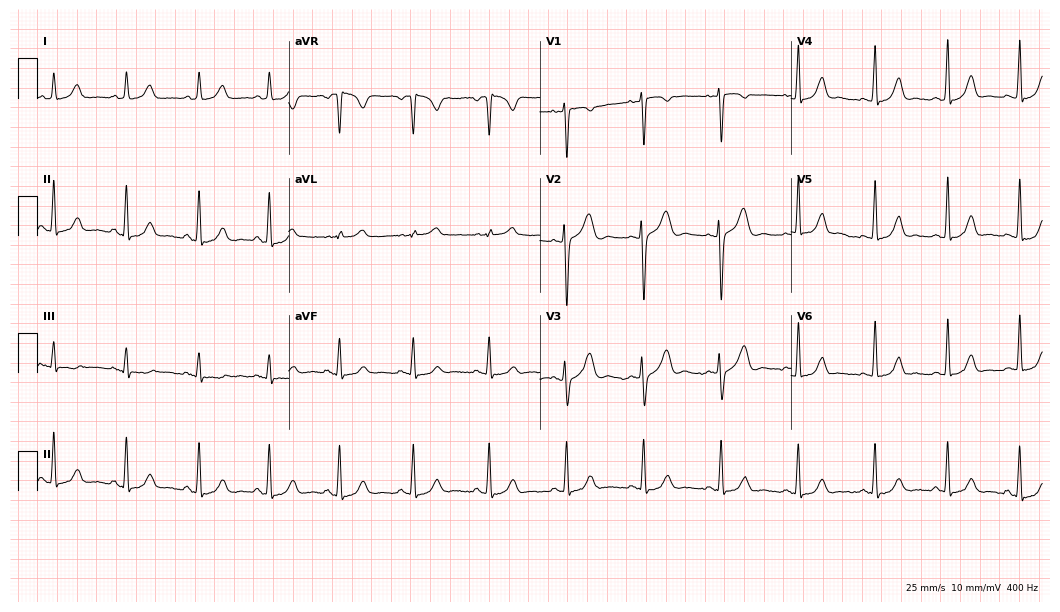
ECG — a 36-year-old female. Labelled as a normal ECG.